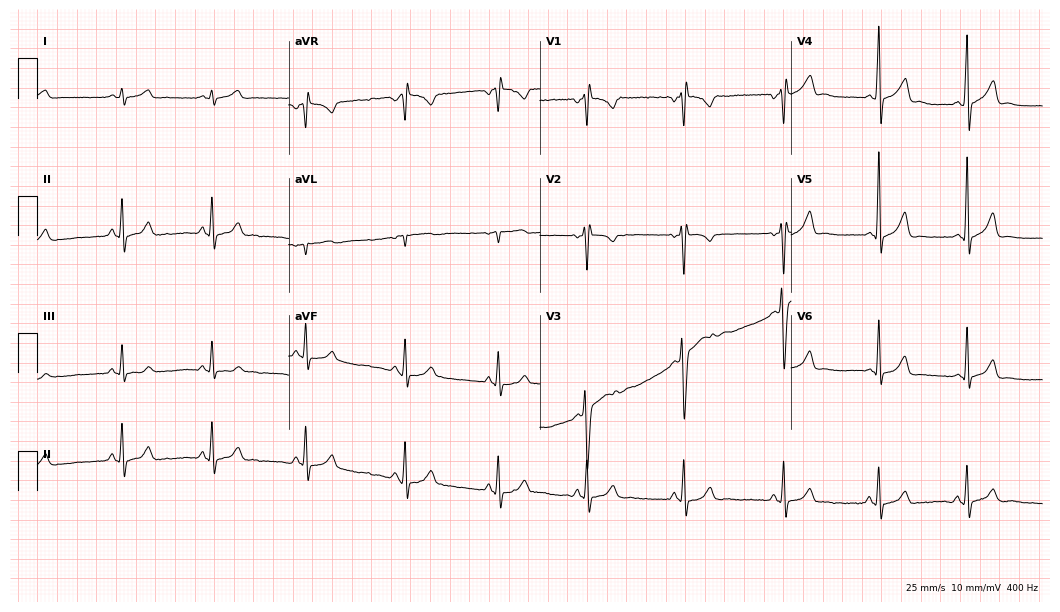
12-lead ECG from a 17-year-old male patient. Labelled as a normal ECG.